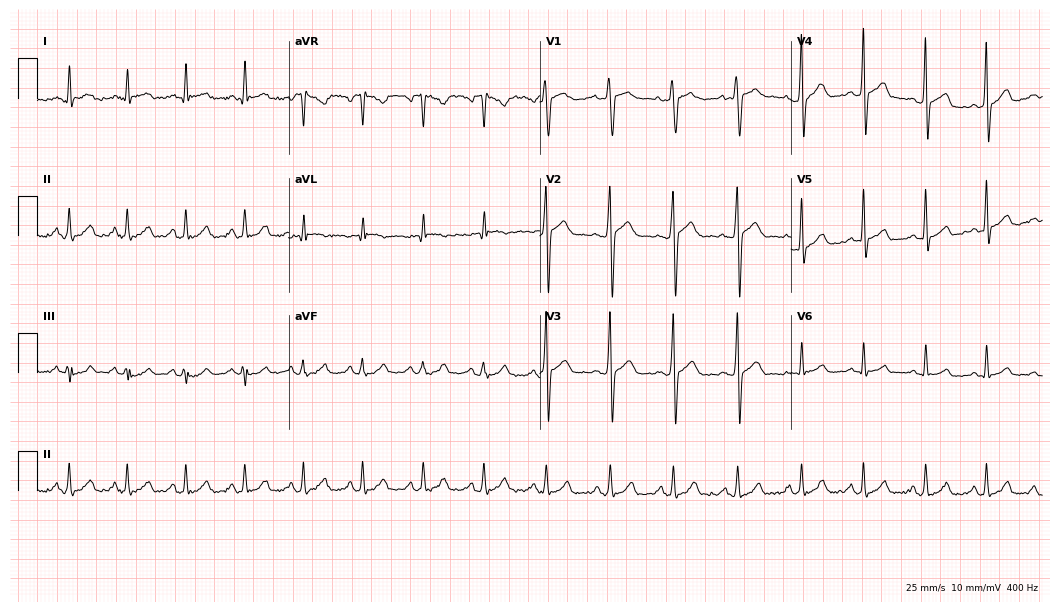
12-lead ECG from a man, 29 years old (10.2-second recording at 400 Hz). Recorded interpretation: within normal limits.